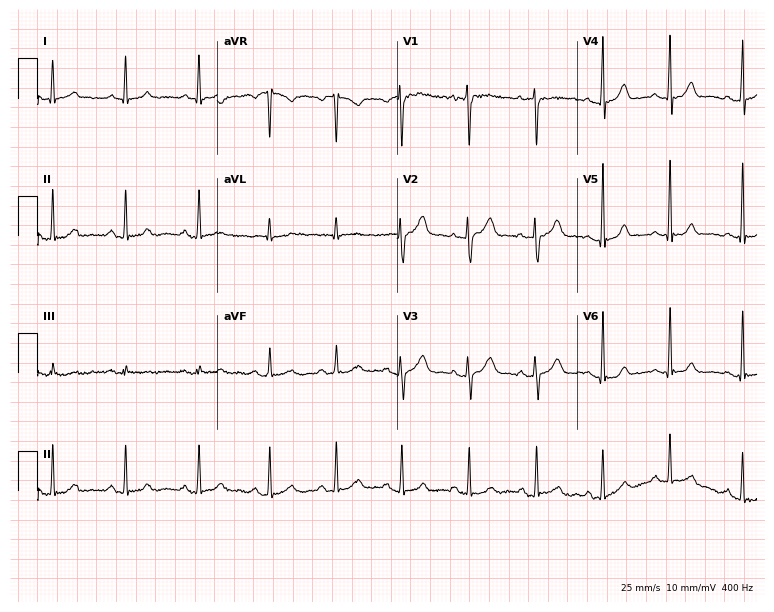
Electrocardiogram, a female patient, 37 years old. Of the six screened findings (first-degree AV block, right bundle branch block (RBBB), left bundle branch block (LBBB), sinus bradycardia, atrial fibrillation (AF), sinus tachycardia), none is recorded. Other findings, if any, are not listed.